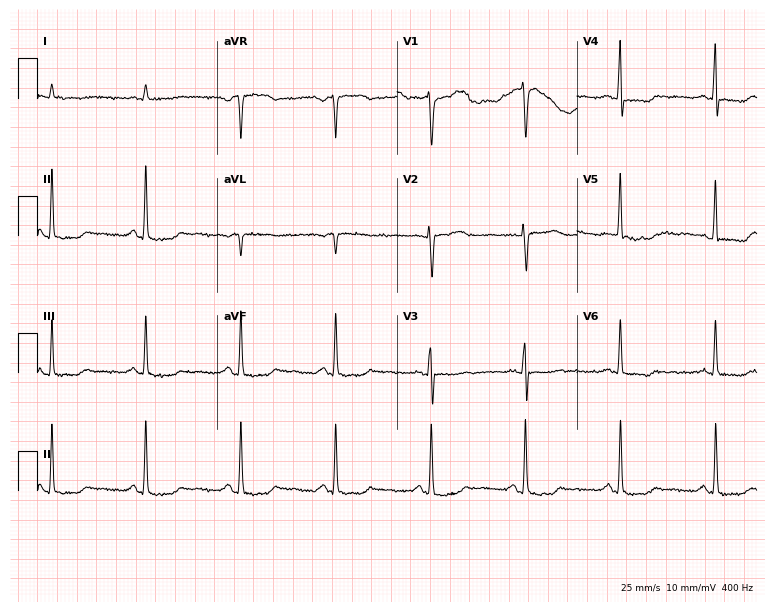
12-lead ECG (7.3-second recording at 400 Hz) from a man, 82 years old. Screened for six findings — first-degree AV block, right bundle branch block, left bundle branch block, sinus bradycardia, atrial fibrillation, sinus tachycardia — none is recorded.